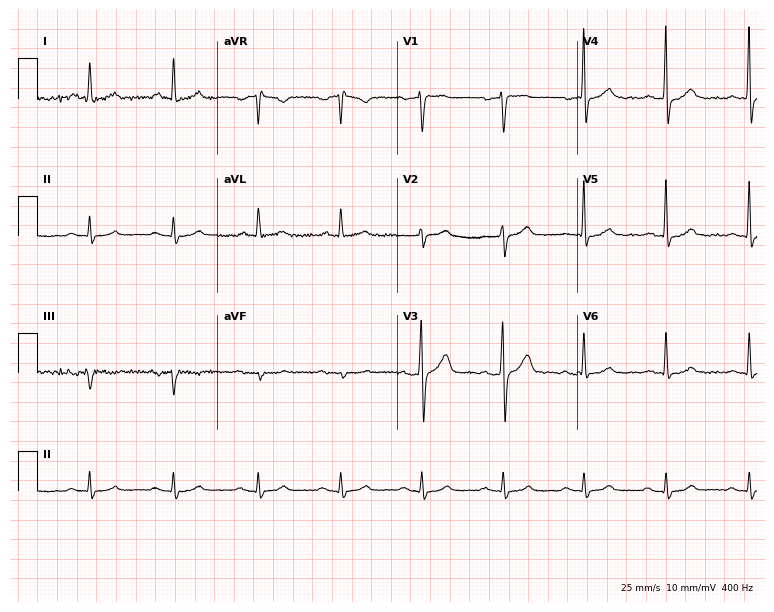
12-lead ECG (7.3-second recording at 400 Hz) from a male patient, 66 years old. Labelled as a normal ECG.